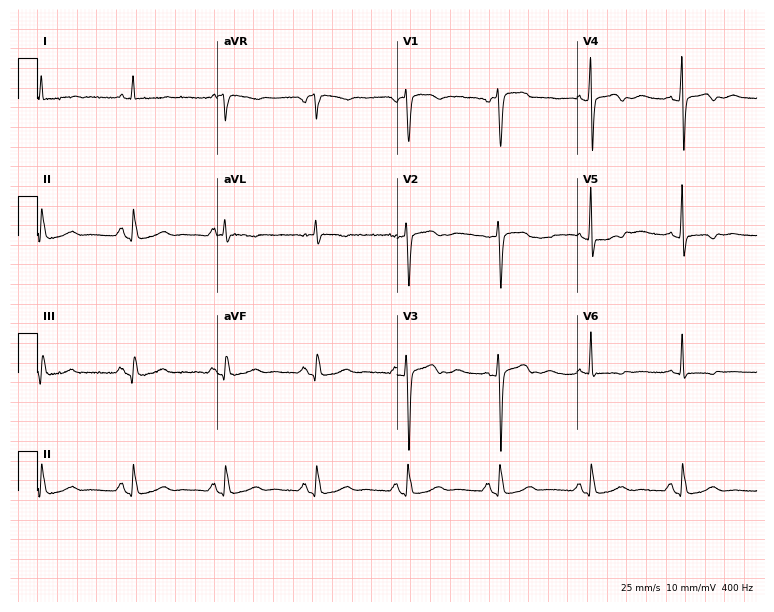
12-lead ECG from a female, 77 years old (7.3-second recording at 400 Hz). No first-degree AV block, right bundle branch block (RBBB), left bundle branch block (LBBB), sinus bradycardia, atrial fibrillation (AF) or sinus tachycardia recorded for this tracing. Findings outside these six are not listed.